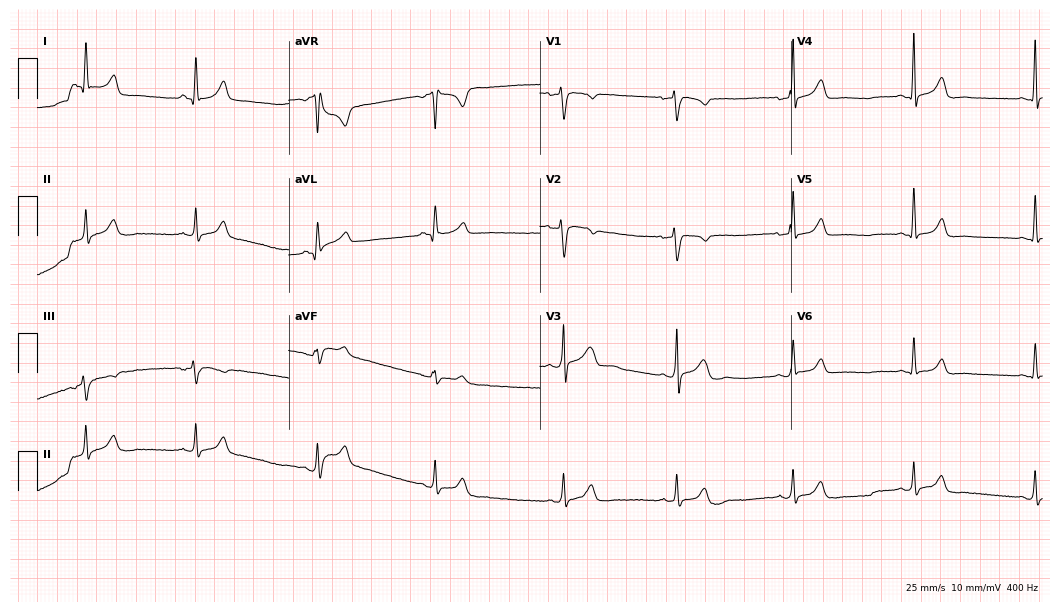
Resting 12-lead electrocardiogram (10.2-second recording at 400 Hz). Patient: a man, 30 years old. Read as a normal ECG.